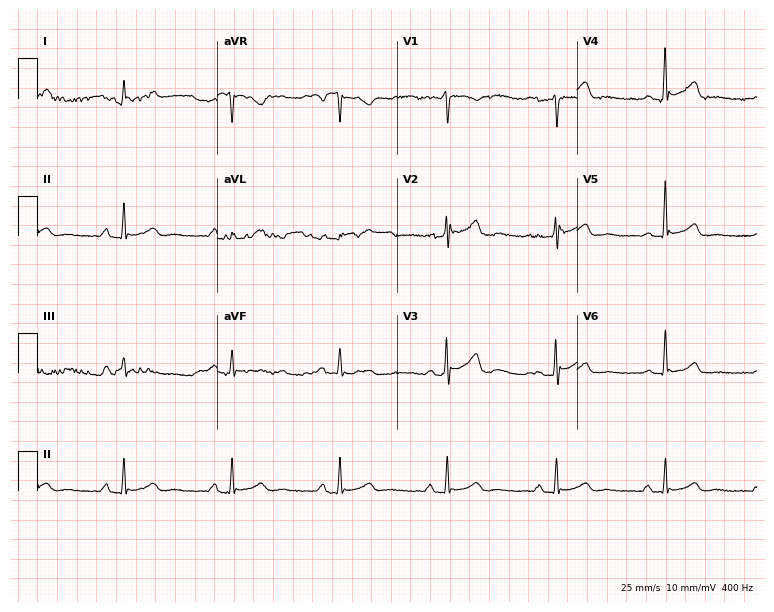
Electrocardiogram (7.3-second recording at 400 Hz), a female, 52 years old. Of the six screened findings (first-degree AV block, right bundle branch block (RBBB), left bundle branch block (LBBB), sinus bradycardia, atrial fibrillation (AF), sinus tachycardia), none is recorded. Only these six findings were labelled.